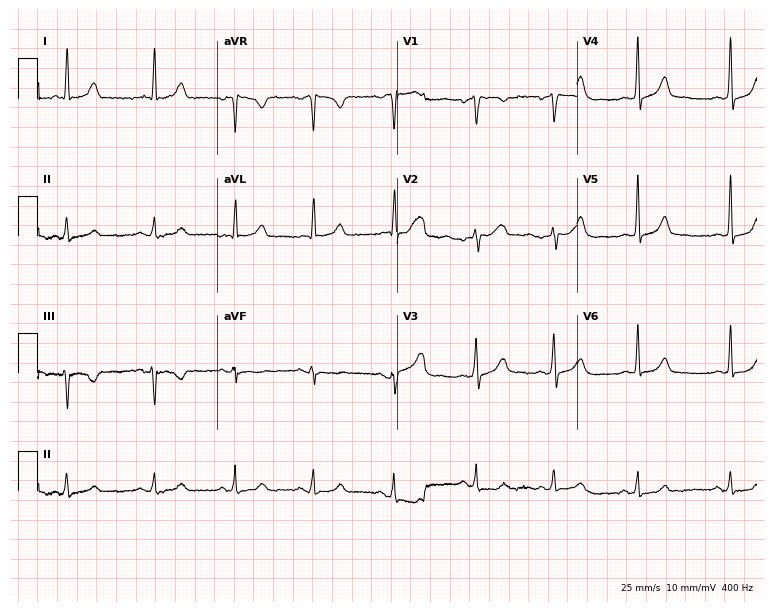
Resting 12-lead electrocardiogram (7.3-second recording at 400 Hz). Patient: a 36-year-old female. None of these six findings is recorded: first-degree AV block, right bundle branch block, left bundle branch block, sinus bradycardia, atrial fibrillation, sinus tachycardia.